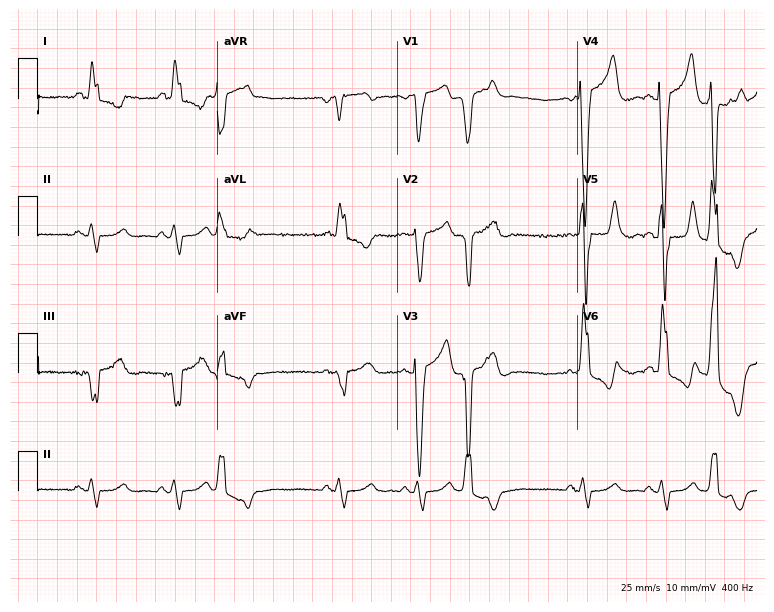
ECG — an 85-year-old female patient. Findings include left bundle branch block.